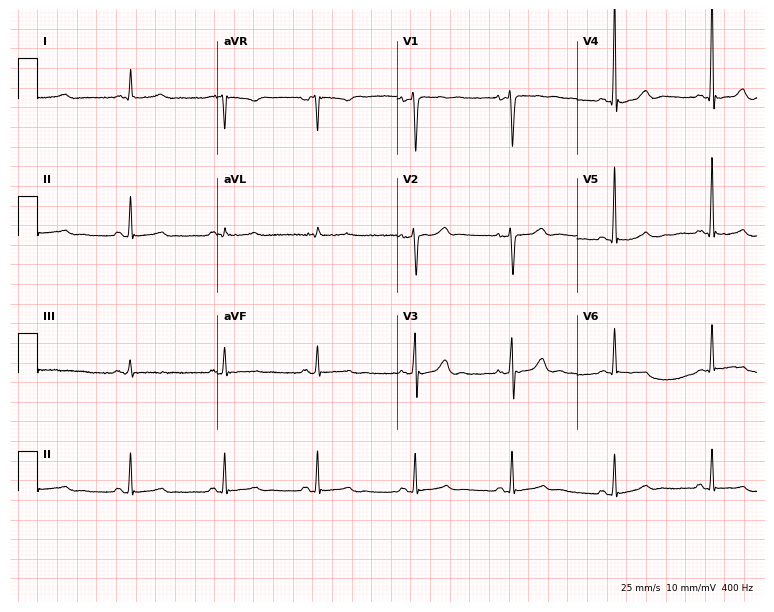
Standard 12-lead ECG recorded from a 51-year-old man (7.3-second recording at 400 Hz). None of these six findings is recorded: first-degree AV block, right bundle branch block, left bundle branch block, sinus bradycardia, atrial fibrillation, sinus tachycardia.